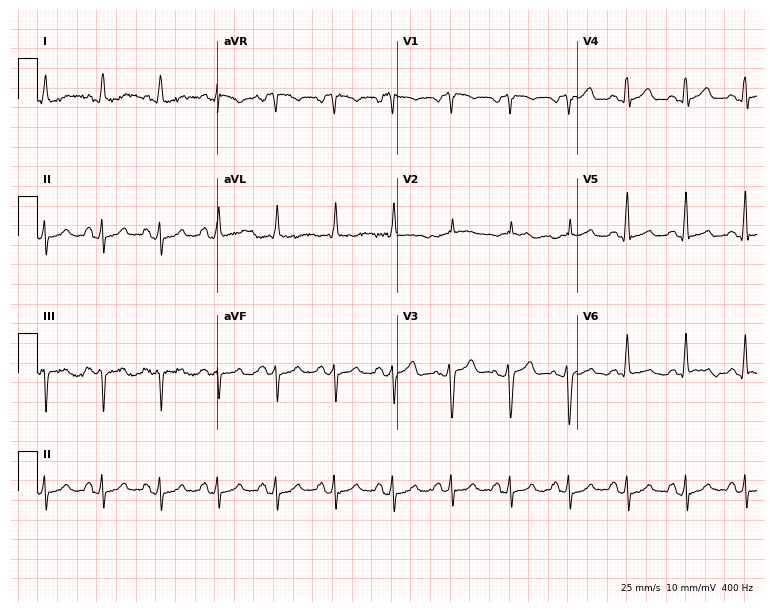
Electrocardiogram, a 76-year-old man. Interpretation includes sinus tachycardia (a sinus rate of 100 beats per minute or more).